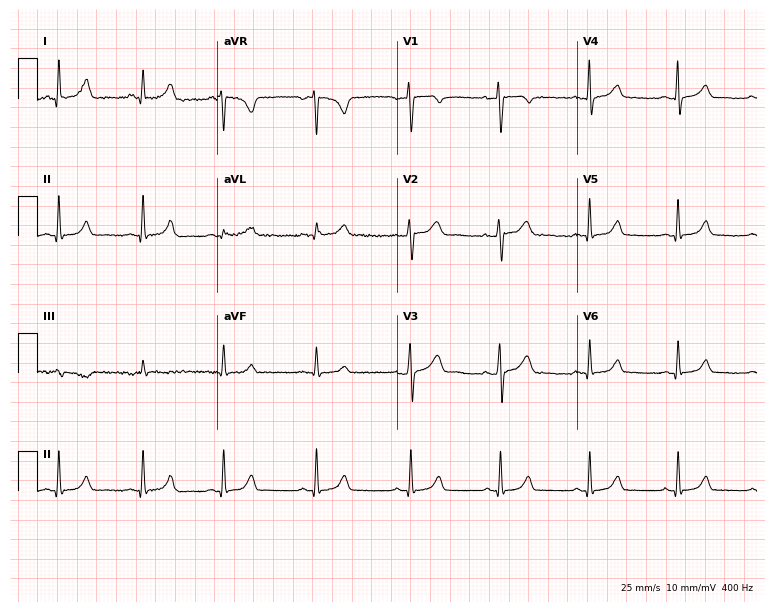
12-lead ECG from a woman, 36 years old. Labelled as a normal ECG.